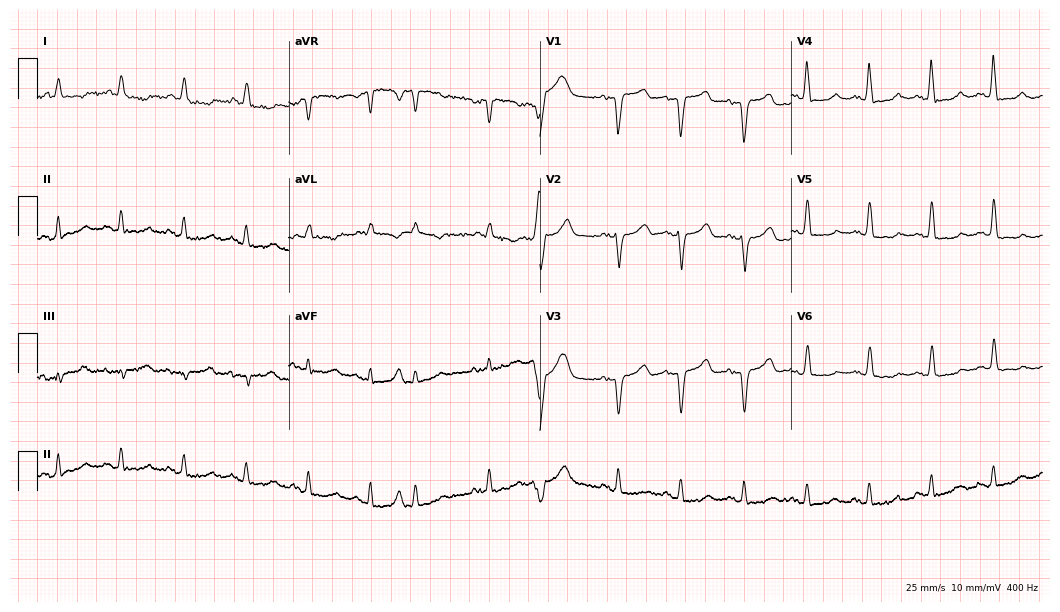
12-lead ECG from an 85-year-old female patient. Screened for six findings — first-degree AV block, right bundle branch block, left bundle branch block, sinus bradycardia, atrial fibrillation, sinus tachycardia — none is recorded. Findings outside these six are not listed.